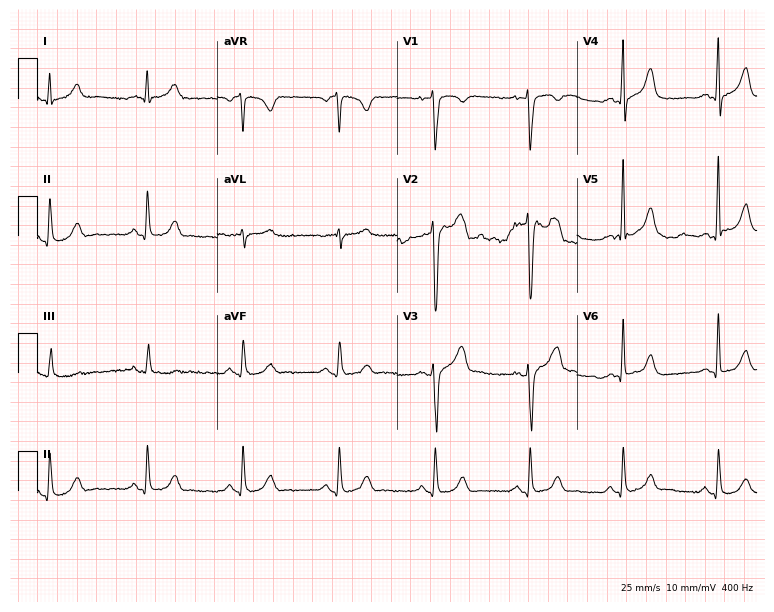
12-lead ECG (7.3-second recording at 400 Hz) from a 42-year-old male. Screened for six findings — first-degree AV block, right bundle branch block, left bundle branch block, sinus bradycardia, atrial fibrillation, sinus tachycardia — none is recorded.